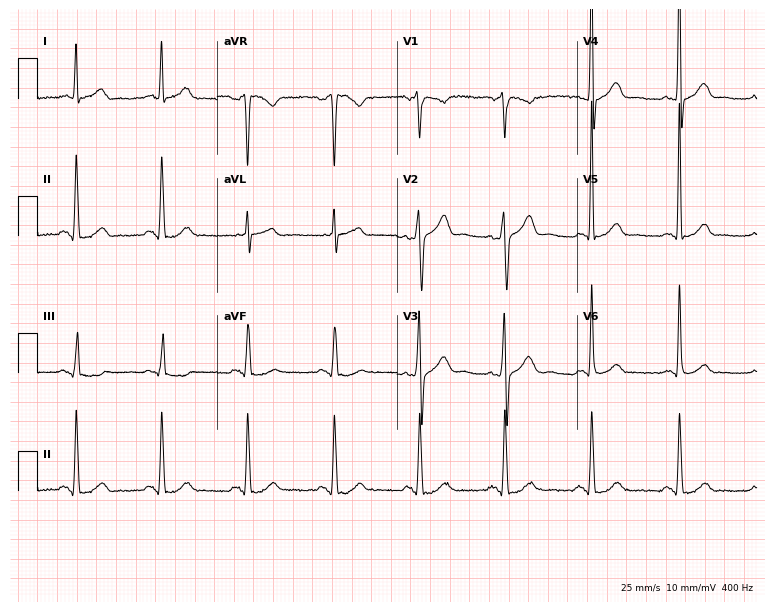
Standard 12-lead ECG recorded from a 45-year-old male patient. Read as a normal ECG.